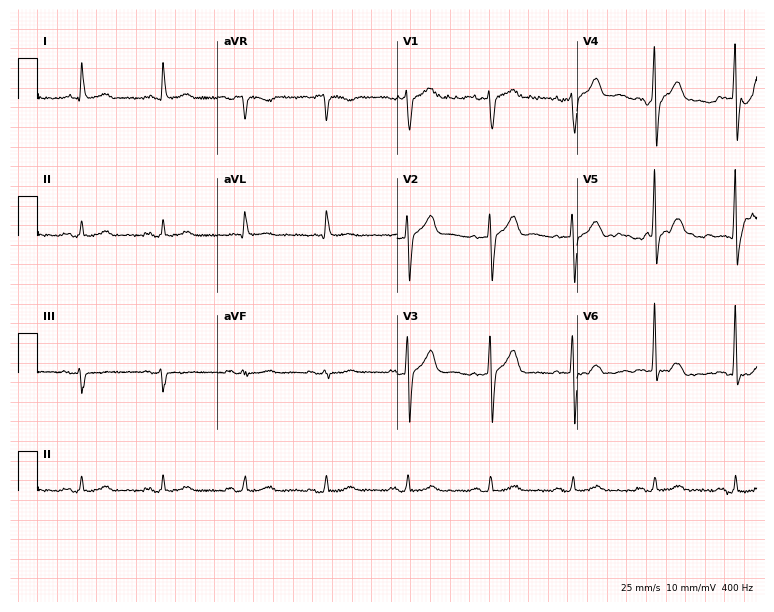
ECG — a male patient, 63 years old. Screened for six findings — first-degree AV block, right bundle branch block, left bundle branch block, sinus bradycardia, atrial fibrillation, sinus tachycardia — none is recorded. Other findings, if any, are not listed.